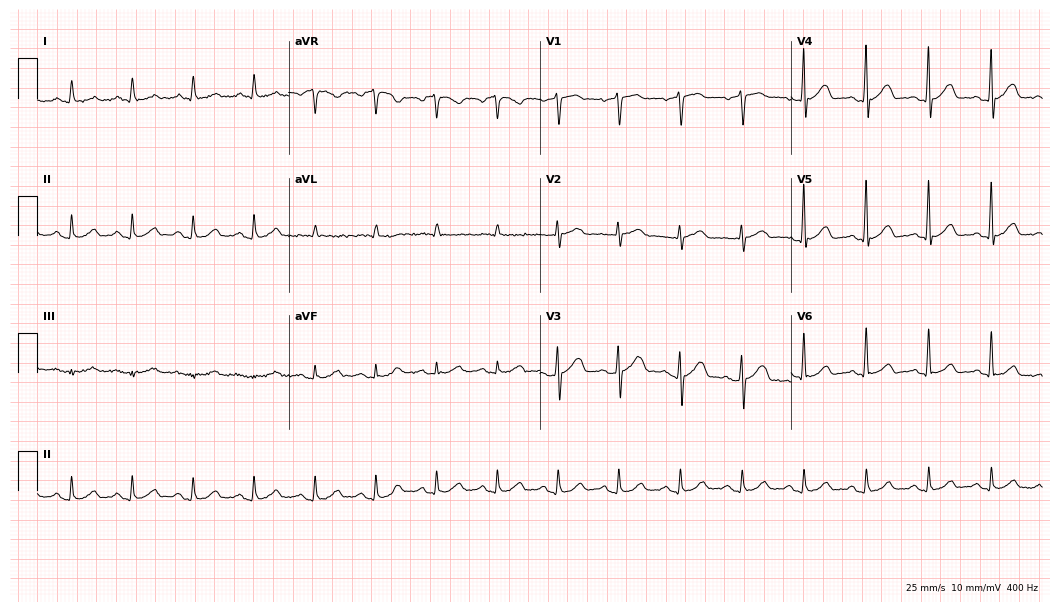
Standard 12-lead ECG recorded from a male, 77 years old (10.2-second recording at 400 Hz). None of these six findings is recorded: first-degree AV block, right bundle branch block, left bundle branch block, sinus bradycardia, atrial fibrillation, sinus tachycardia.